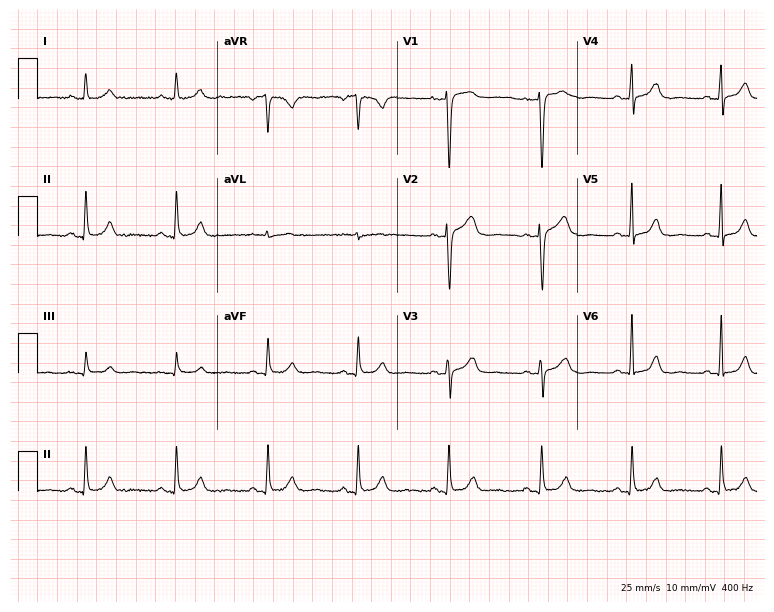
Standard 12-lead ECG recorded from a 55-year-old female (7.3-second recording at 400 Hz). Read as a normal ECG.